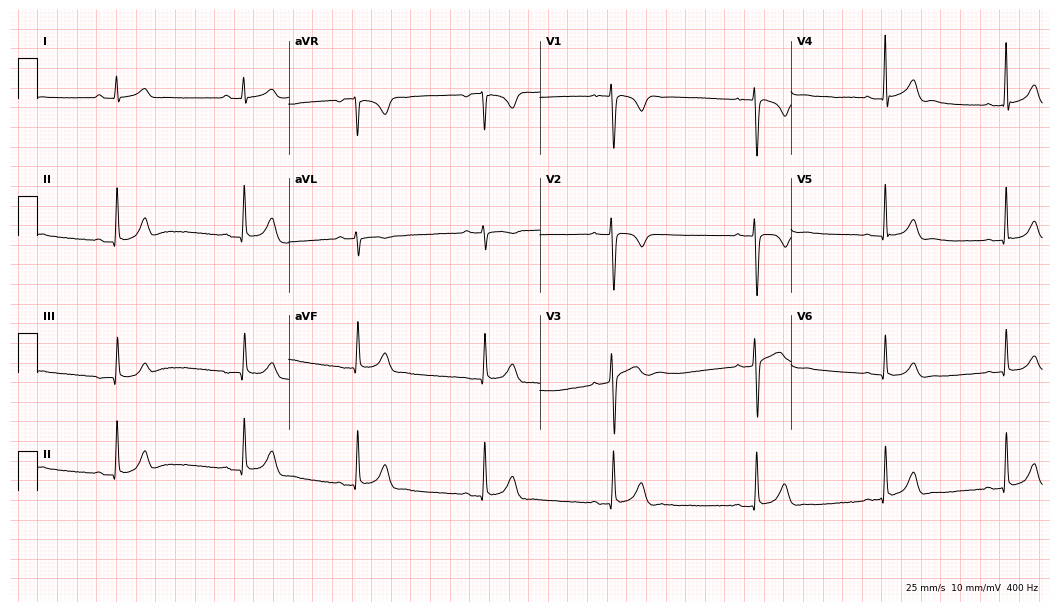
Electrocardiogram (10.2-second recording at 400 Hz), a 29-year-old male patient. Interpretation includes sinus bradycardia (a sinus rate of 50 beats per minute or less).